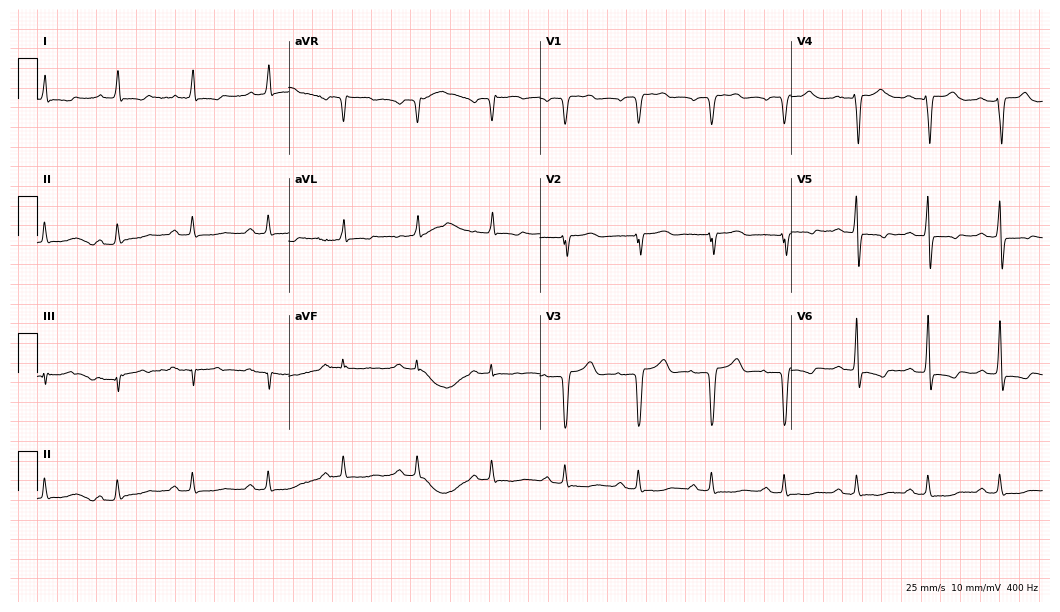
Resting 12-lead electrocardiogram. Patient: a female, 82 years old. None of these six findings is recorded: first-degree AV block, right bundle branch block, left bundle branch block, sinus bradycardia, atrial fibrillation, sinus tachycardia. Other findings, if any, are not listed.